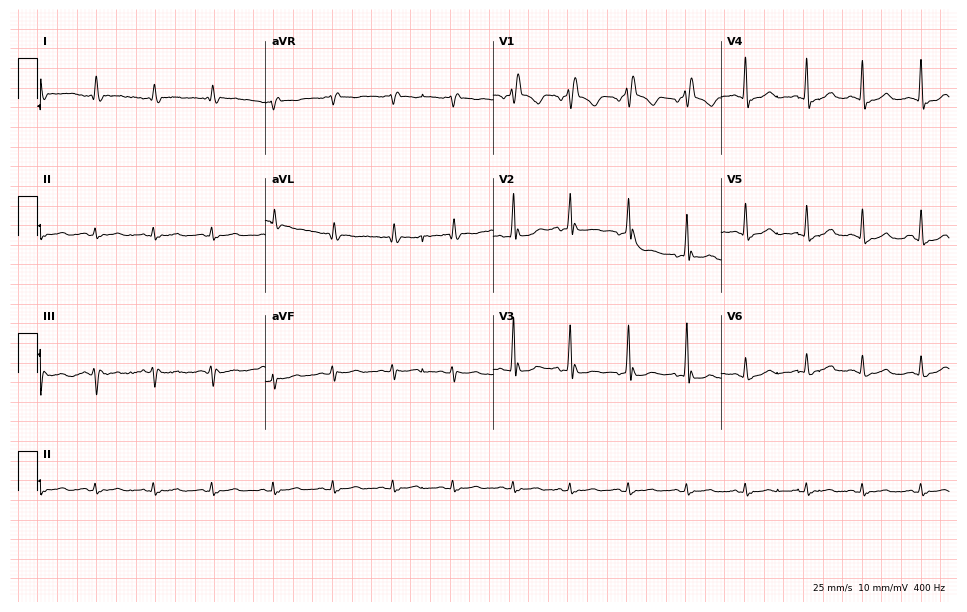
12-lead ECG from a woman, 63 years old. Findings include right bundle branch block (RBBB), sinus tachycardia (a sinus rate of 100 beats per minute or more).